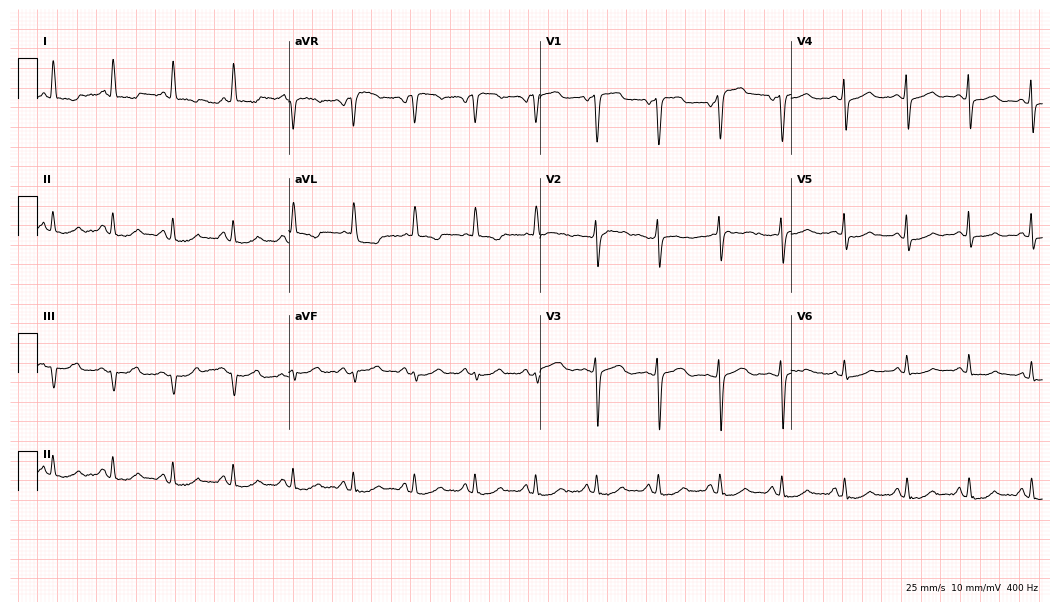
Resting 12-lead electrocardiogram. Patient: a 76-year-old female. None of these six findings is recorded: first-degree AV block, right bundle branch block, left bundle branch block, sinus bradycardia, atrial fibrillation, sinus tachycardia.